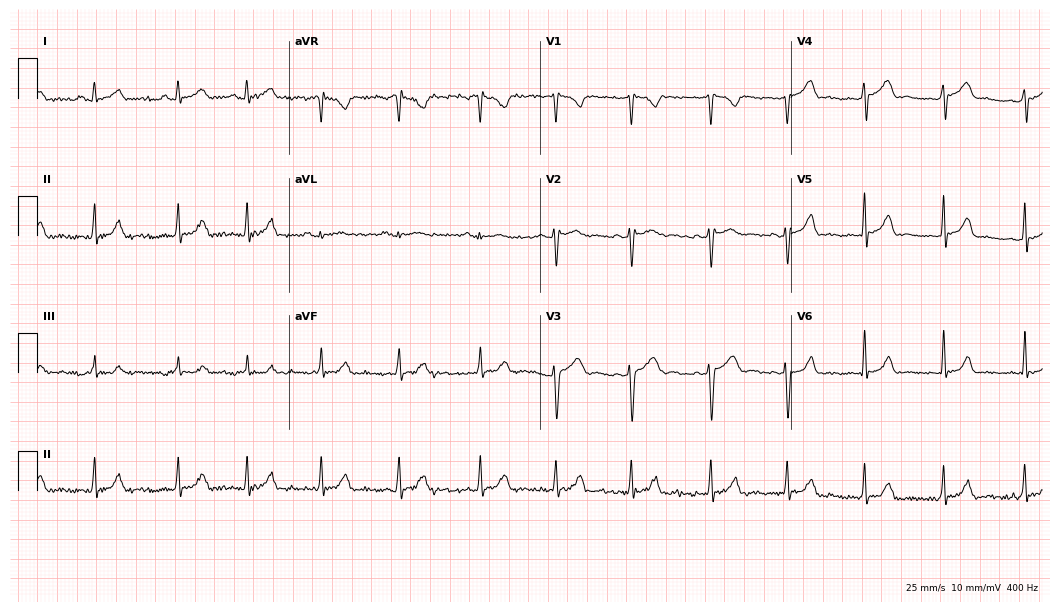
Resting 12-lead electrocardiogram (10.2-second recording at 400 Hz). Patient: an 18-year-old woman. Read as a normal ECG.